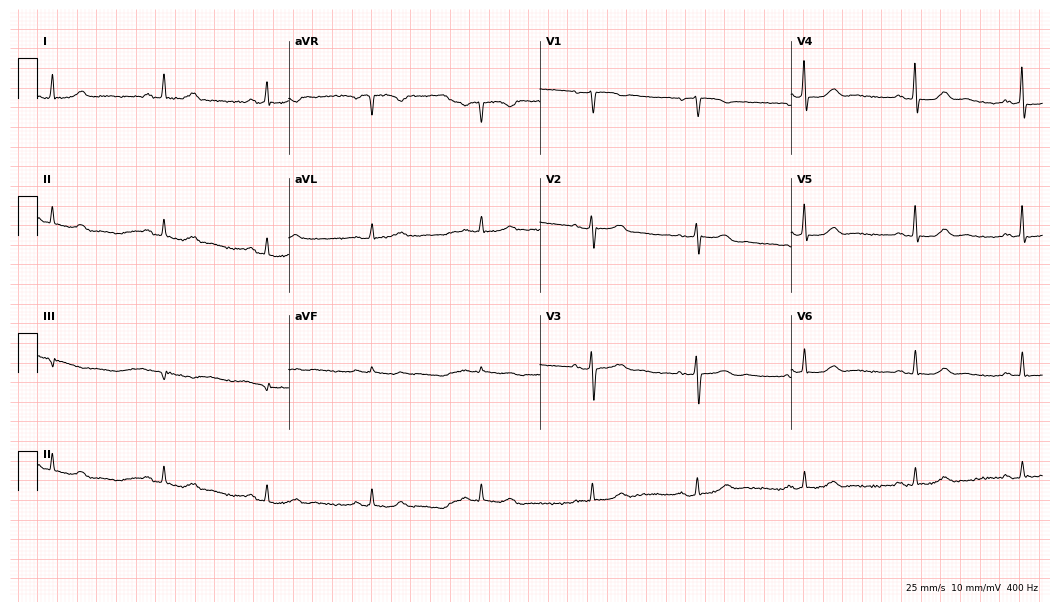
Resting 12-lead electrocardiogram. Patient: a 59-year-old woman. Read as a normal ECG.